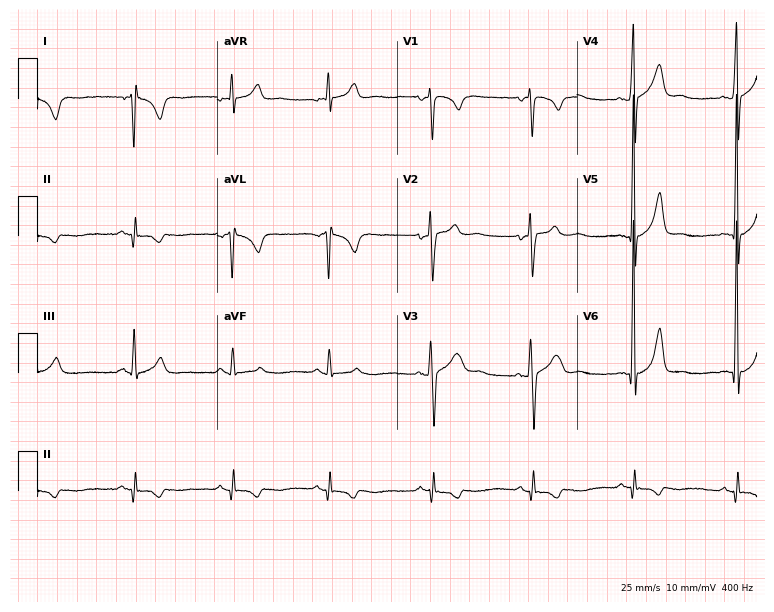
ECG — a 40-year-old male. Screened for six findings — first-degree AV block, right bundle branch block (RBBB), left bundle branch block (LBBB), sinus bradycardia, atrial fibrillation (AF), sinus tachycardia — none is recorded. Findings outside these six are not listed.